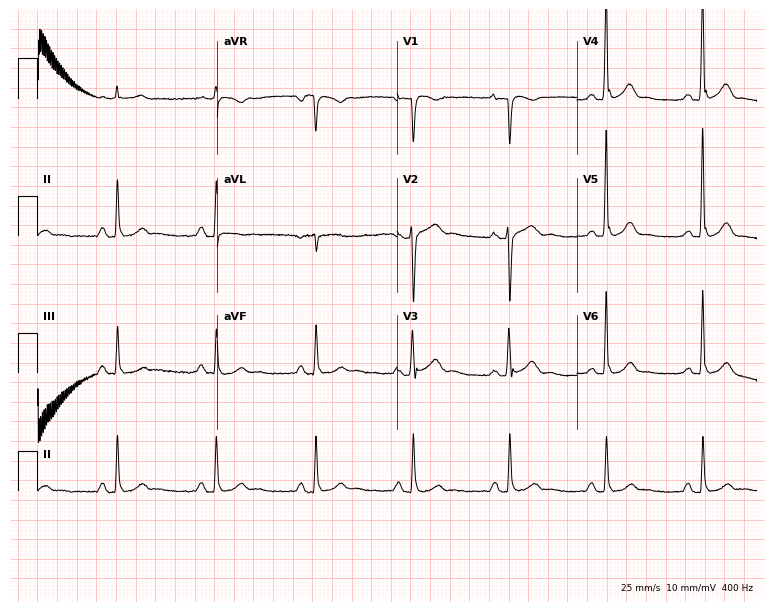
12-lead ECG from a 50-year-old man (7.3-second recording at 400 Hz). Recorded interpretation: within normal limits.